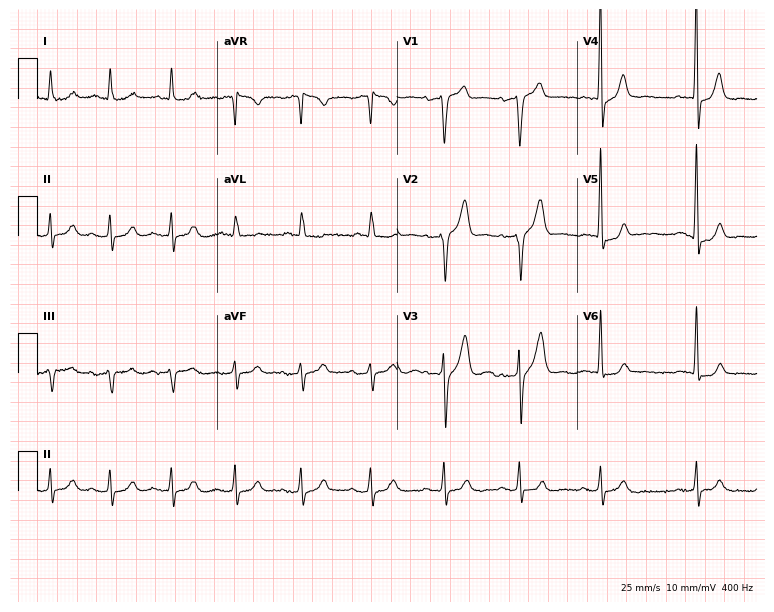
Electrocardiogram, a 76-year-old man. Of the six screened findings (first-degree AV block, right bundle branch block, left bundle branch block, sinus bradycardia, atrial fibrillation, sinus tachycardia), none is recorded. Only these six findings were labelled.